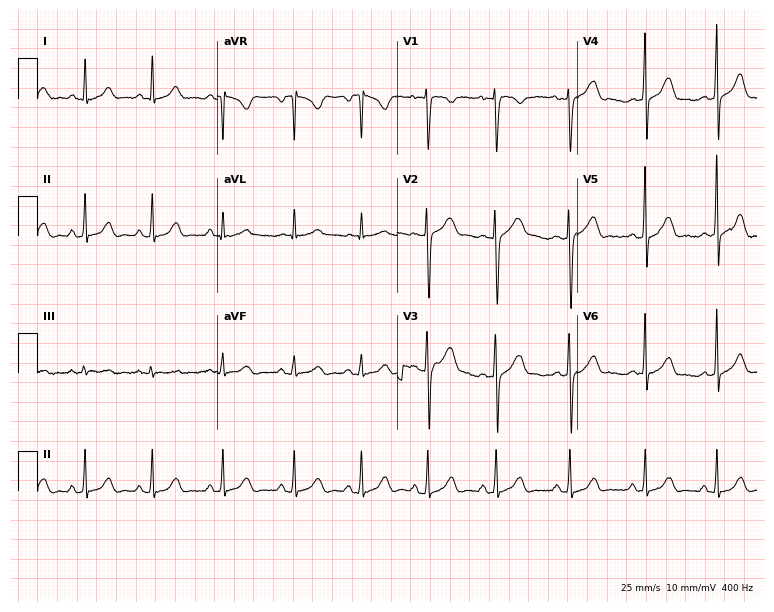
12-lead ECG from a 21-year-old woman. Recorded interpretation: within normal limits.